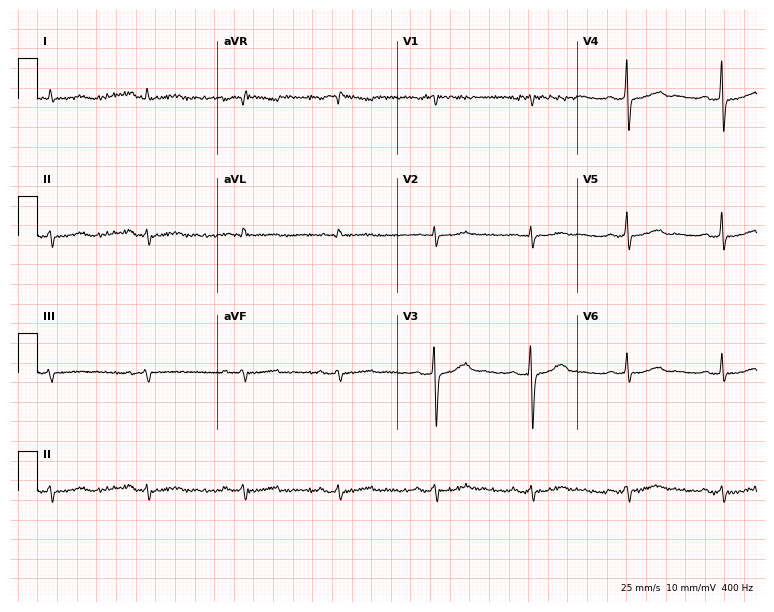
Electrocardiogram, an 18-year-old male patient. Of the six screened findings (first-degree AV block, right bundle branch block, left bundle branch block, sinus bradycardia, atrial fibrillation, sinus tachycardia), none is recorded. Other findings, if any, are not listed.